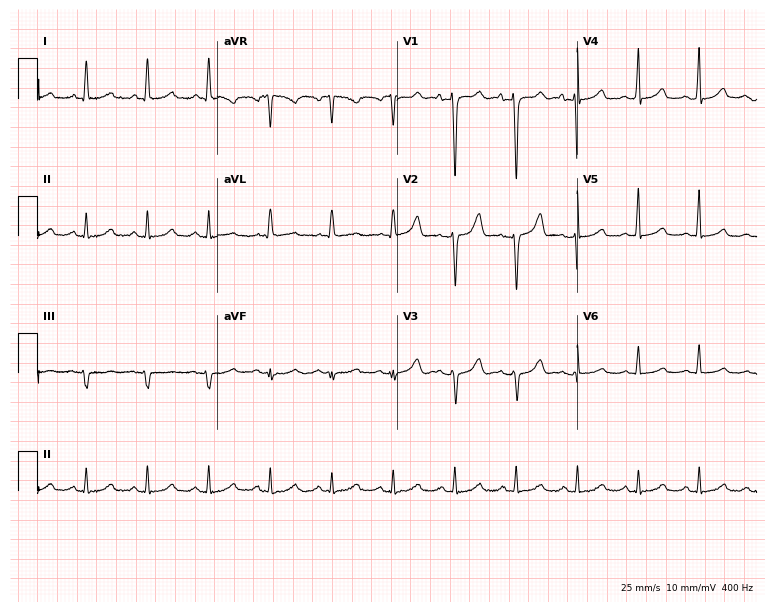
Standard 12-lead ECG recorded from a female, 53 years old (7.3-second recording at 400 Hz). Read as a normal ECG.